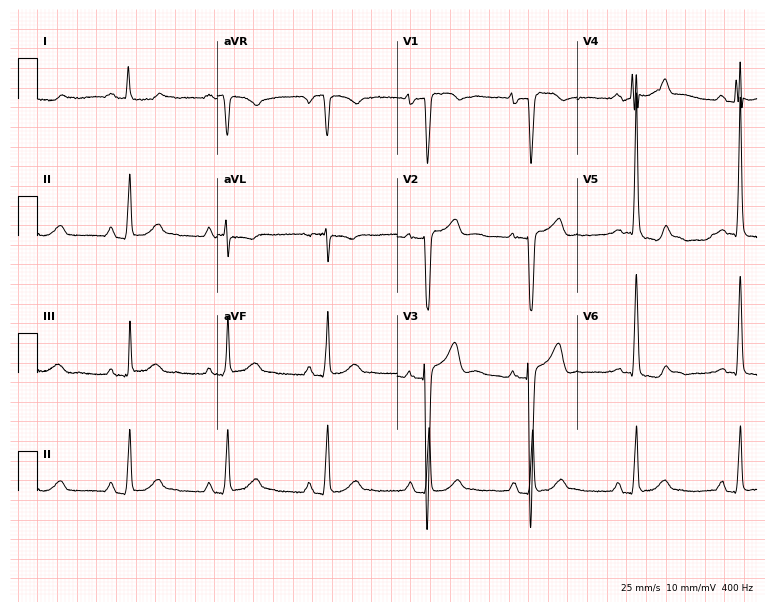
12-lead ECG from a woman, 43 years old (7.3-second recording at 400 Hz). No first-degree AV block, right bundle branch block (RBBB), left bundle branch block (LBBB), sinus bradycardia, atrial fibrillation (AF) or sinus tachycardia recorded for this tracing.